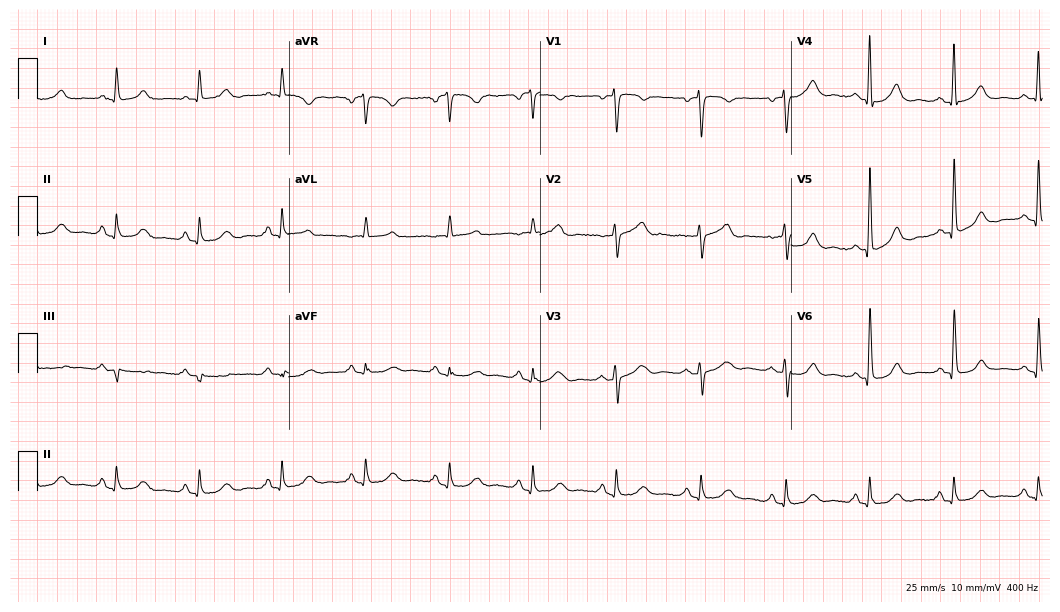
Electrocardiogram, an 82-year-old female. Overall reading on record: normal ECG.